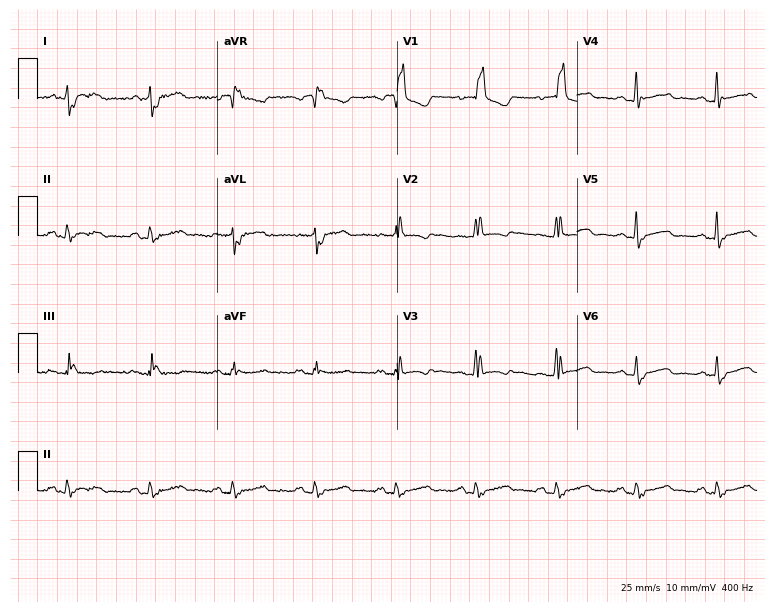
Standard 12-lead ECG recorded from a 38-year-old female patient (7.3-second recording at 400 Hz). The tracing shows right bundle branch block (RBBB).